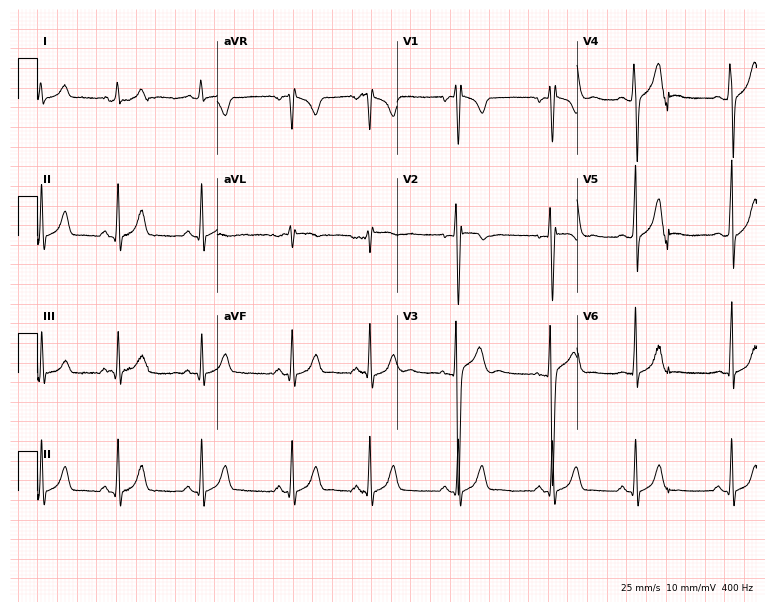
12-lead ECG from a male, 21 years old. Recorded interpretation: within normal limits.